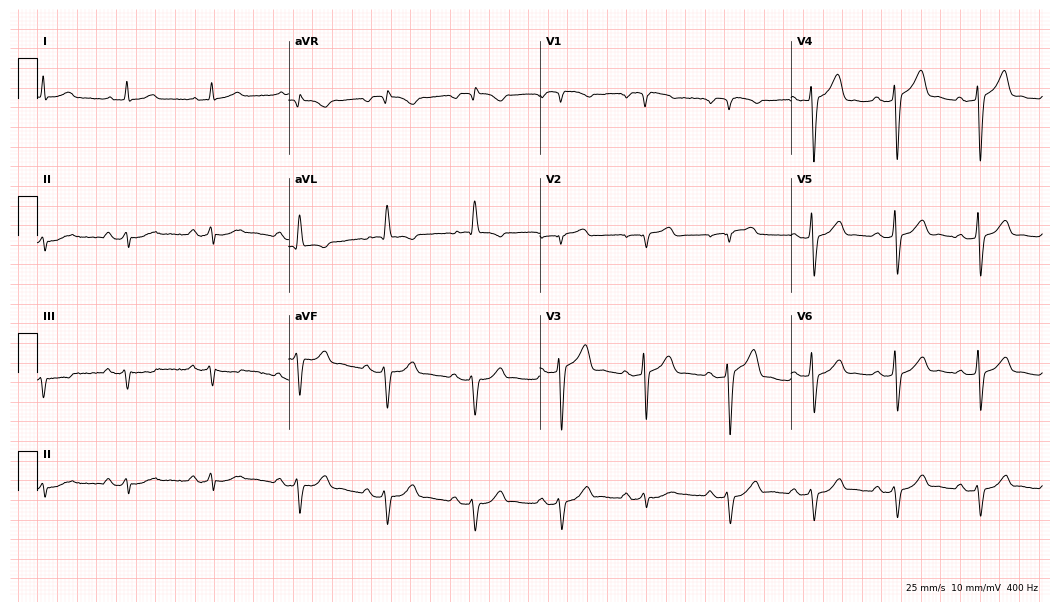
Electrocardiogram, a 74-year-old male patient. Of the six screened findings (first-degree AV block, right bundle branch block (RBBB), left bundle branch block (LBBB), sinus bradycardia, atrial fibrillation (AF), sinus tachycardia), none is recorded.